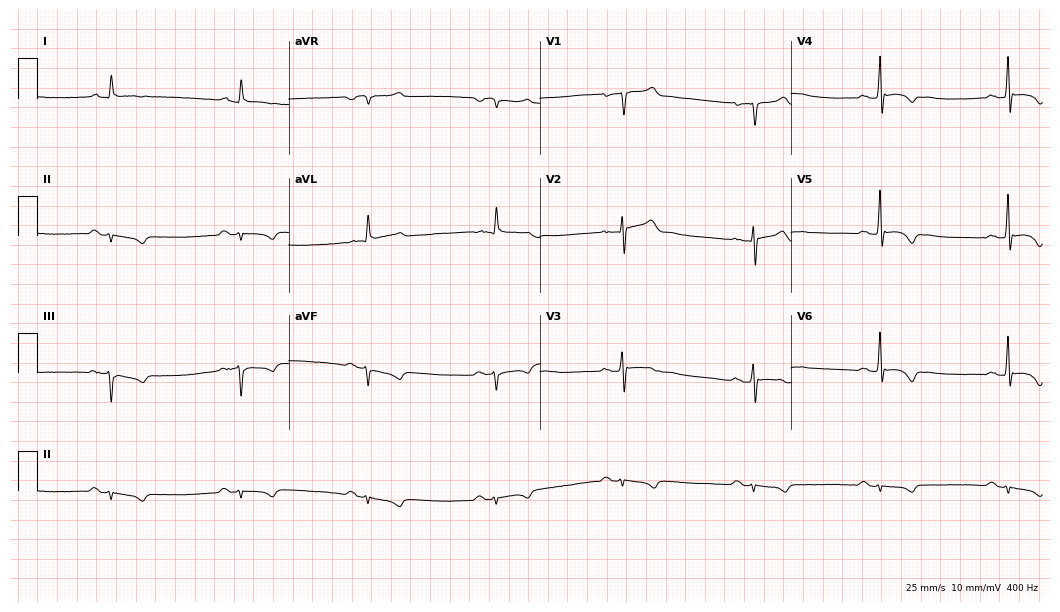
Electrocardiogram (10.2-second recording at 400 Hz), a 61-year-old male. Of the six screened findings (first-degree AV block, right bundle branch block (RBBB), left bundle branch block (LBBB), sinus bradycardia, atrial fibrillation (AF), sinus tachycardia), none is recorded.